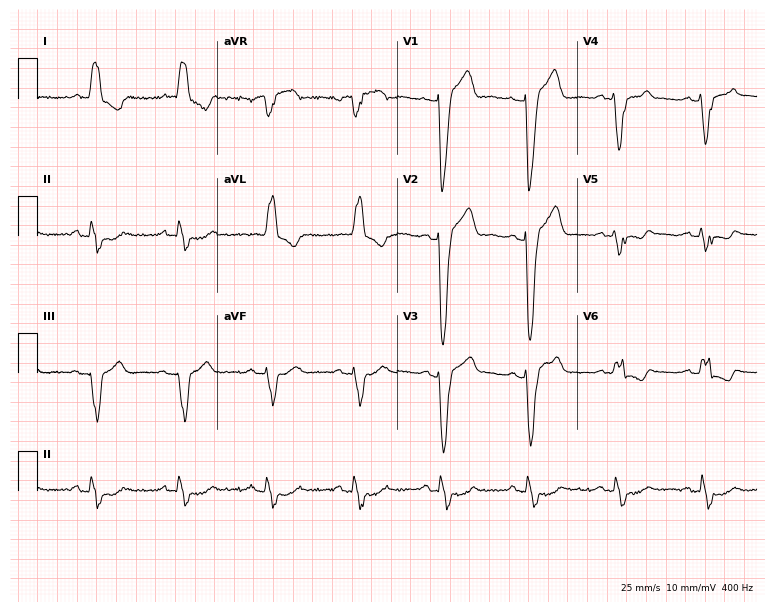
12-lead ECG from a 60-year-old man. Shows left bundle branch block.